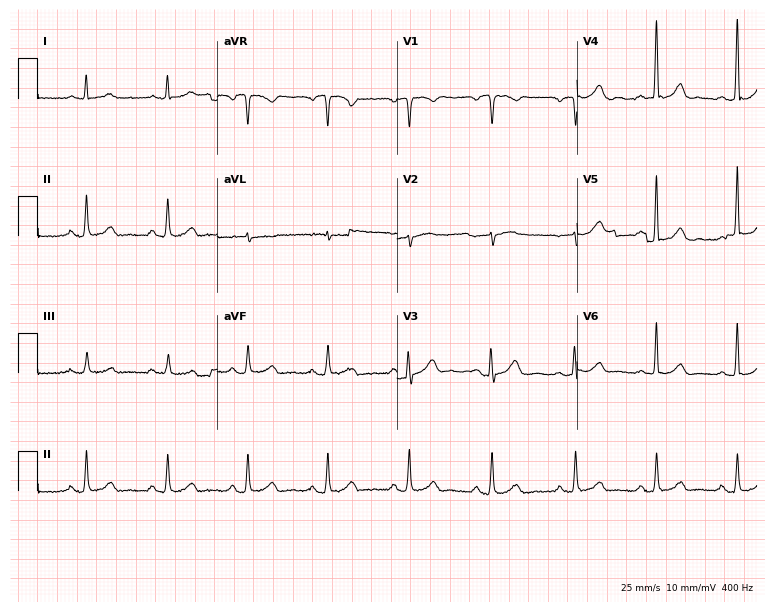
ECG (7.3-second recording at 400 Hz) — a man, 77 years old. Labelled as a normal ECG.